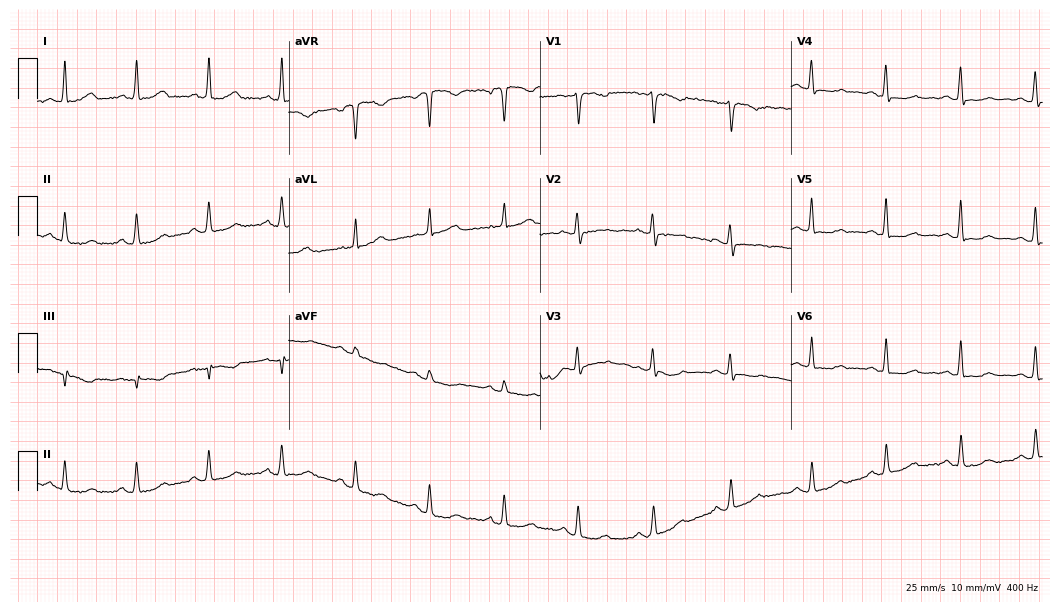
12-lead ECG from a female patient, 52 years old. Screened for six findings — first-degree AV block, right bundle branch block, left bundle branch block, sinus bradycardia, atrial fibrillation, sinus tachycardia — none is recorded. Other findings, if any, are not listed.